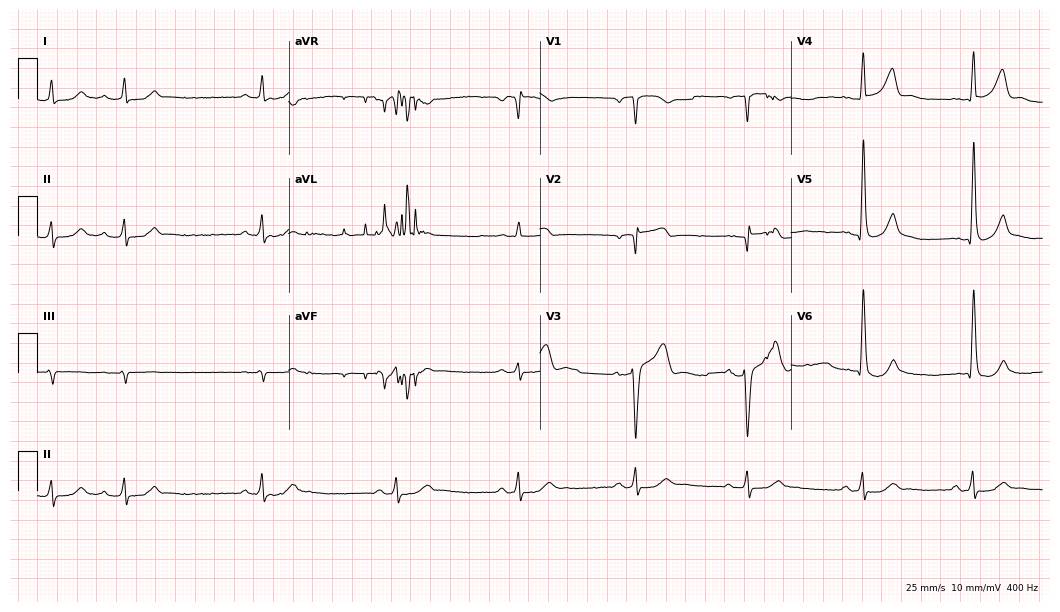
12-lead ECG from a female, 80 years old. Screened for six findings — first-degree AV block, right bundle branch block (RBBB), left bundle branch block (LBBB), sinus bradycardia, atrial fibrillation (AF), sinus tachycardia — none is recorded.